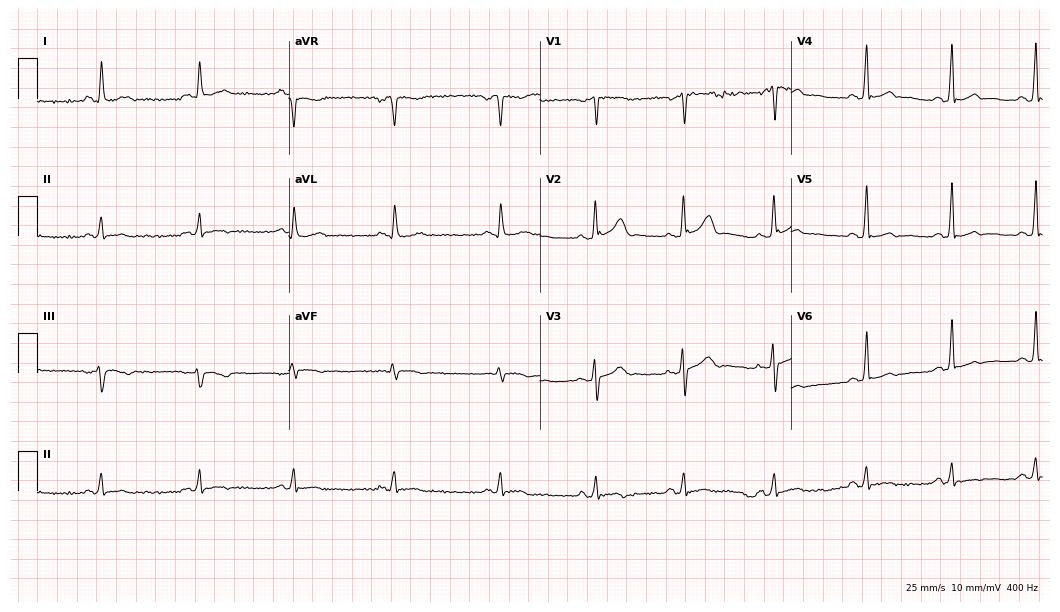
12-lead ECG (10.2-second recording at 400 Hz) from a 36-year-old man. Labelled as a normal ECG.